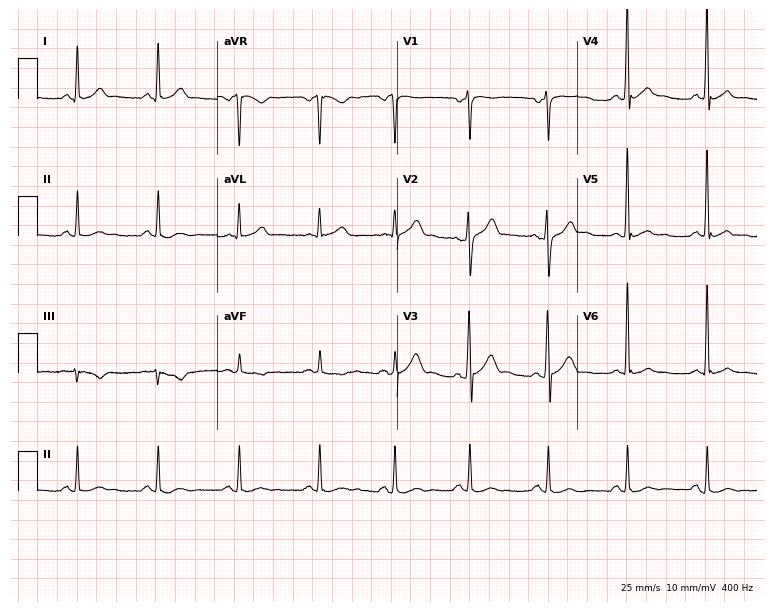
Resting 12-lead electrocardiogram. Patient: a male, 33 years old. Read as a normal ECG.